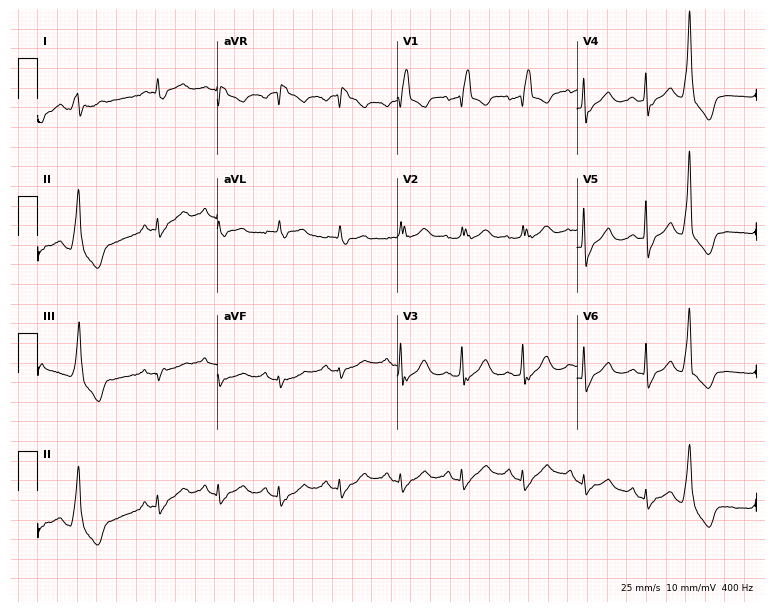
12-lead ECG from a 76-year-old woman. Screened for six findings — first-degree AV block, right bundle branch block, left bundle branch block, sinus bradycardia, atrial fibrillation, sinus tachycardia — none is recorded.